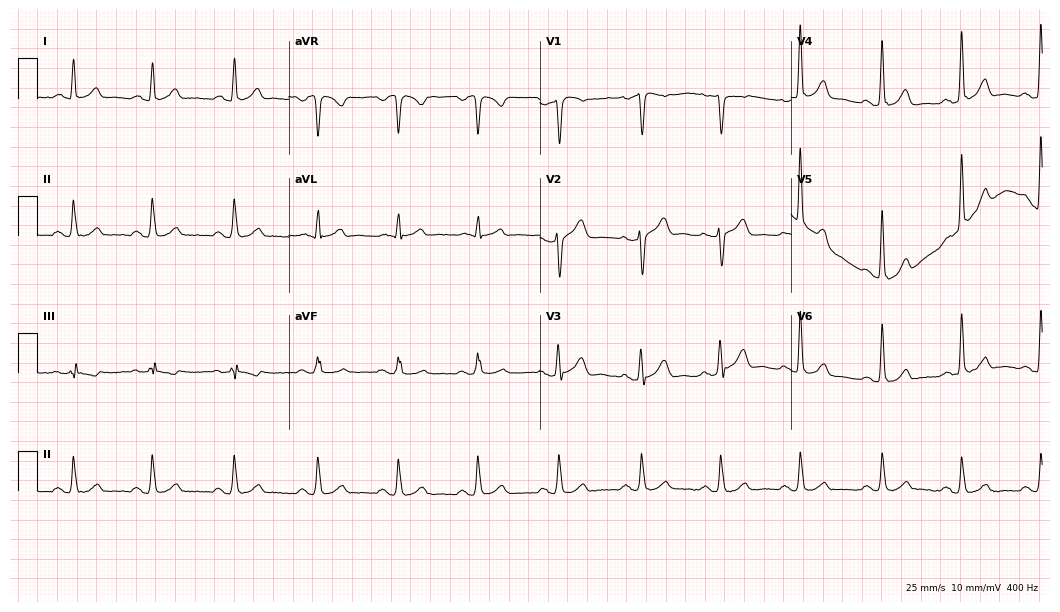
Resting 12-lead electrocardiogram. Patient: a 58-year-old male. Read as a normal ECG.